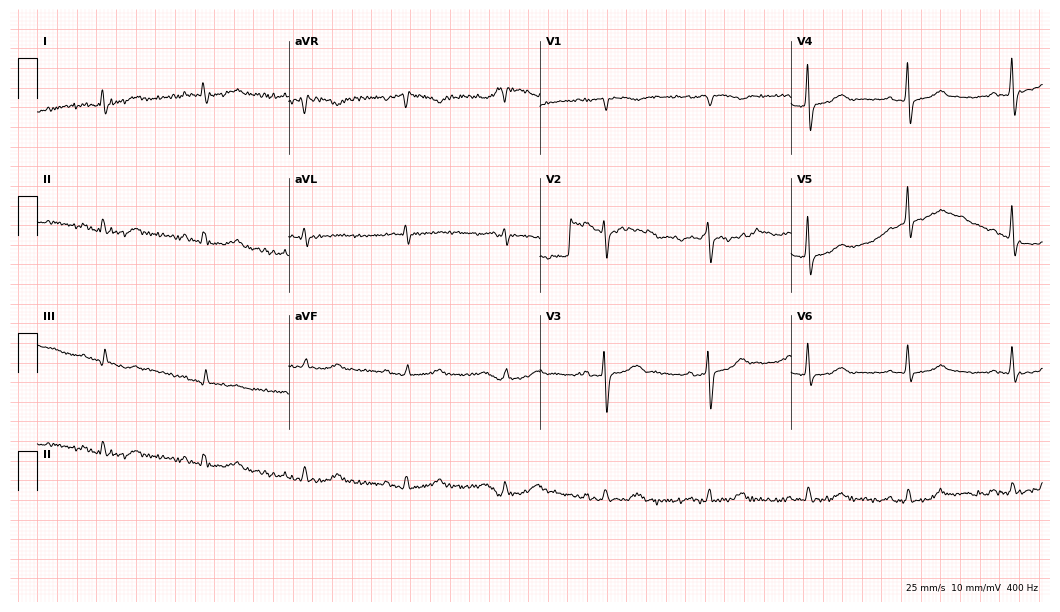
Standard 12-lead ECG recorded from a male patient, 79 years old (10.2-second recording at 400 Hz). None of these six findings is recorded: first-degree AV block, right bundle branch block (RBBB), left bundle branch block (LBBB), sinus bradycardia, atrial fibrillation (AF), sinus tachycardia.